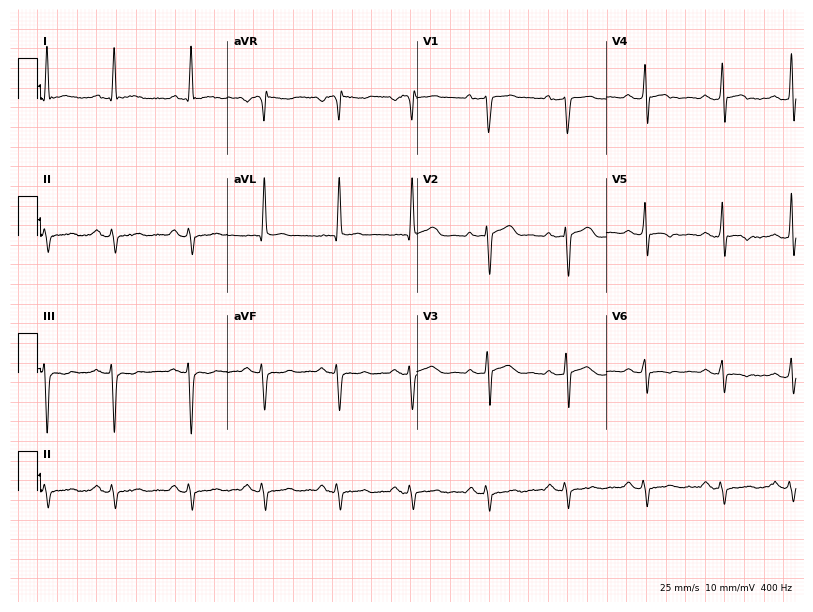
ECG — a 65-year-old male patient. Screened for six findings — first-degree AV block, right bundle branch block, left bundle branch block, sinus bradycardia, atrial fibrillation, sinus tachycardia — none is recorded. Findings outside these six are not listed.